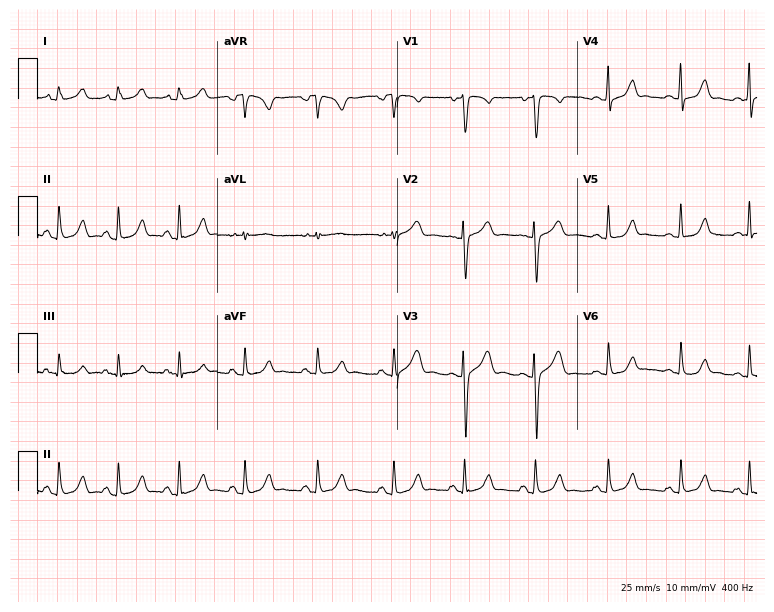
Electrocardiogram (7.3-second recording at 400 Hz), a 26-year-old woman. Overall reading on record: normal ECG.